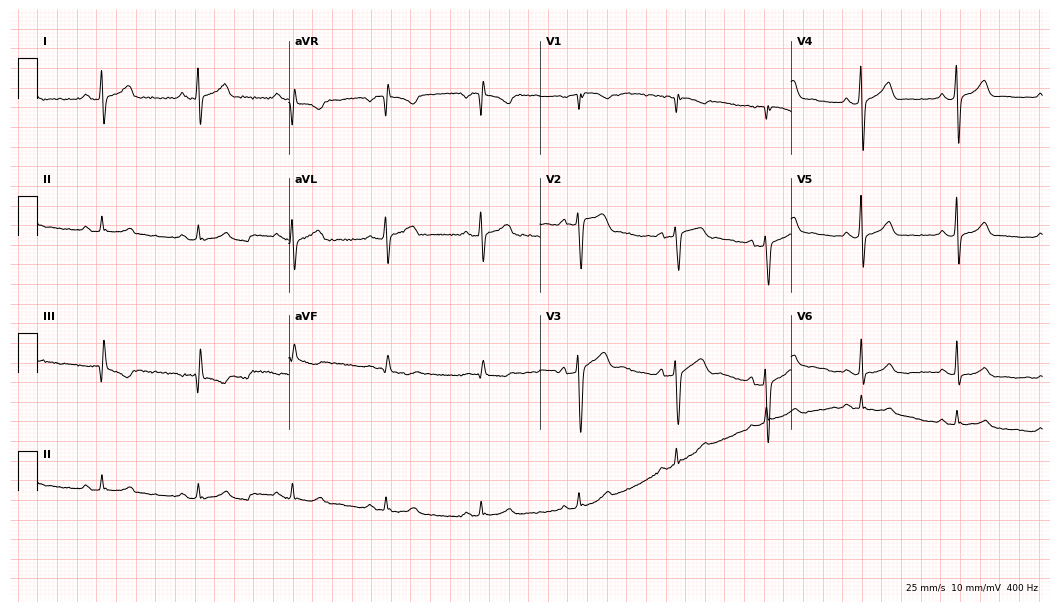
12-lead ECG from a male, 34 years old. Recorded interpretation: within normal limits.